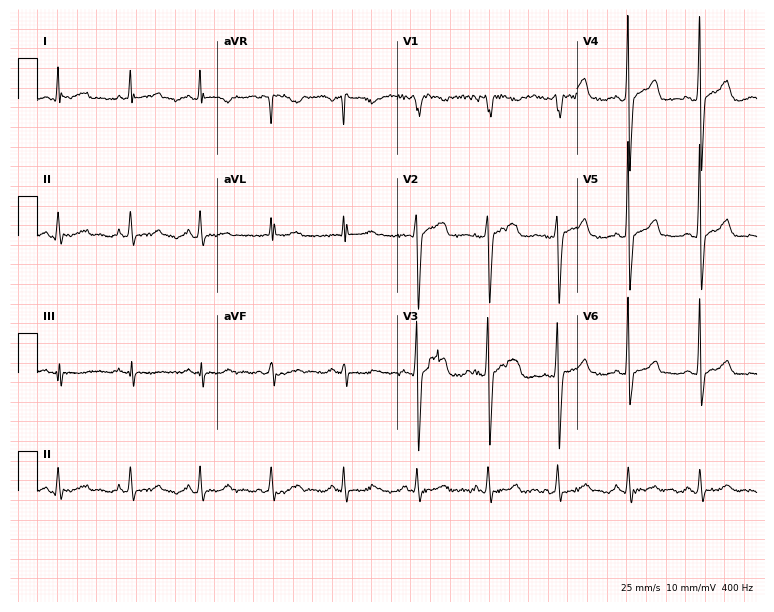
ECG — a 56-year-old female. Labelled as a normal ECG.